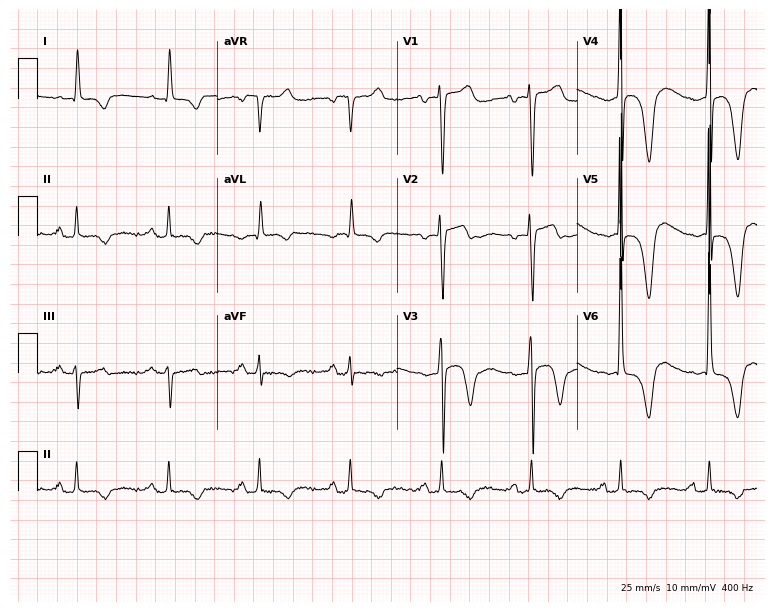
12-lead ECG (7.3-second recording at 400 Hz) from a 73-year-old male. Screened for six findings — first-degree AV block, right bundle branch block, left bundle branch block, sinus bradycardia, atrial fibrillation, sinus tachycardia — none is recorded.